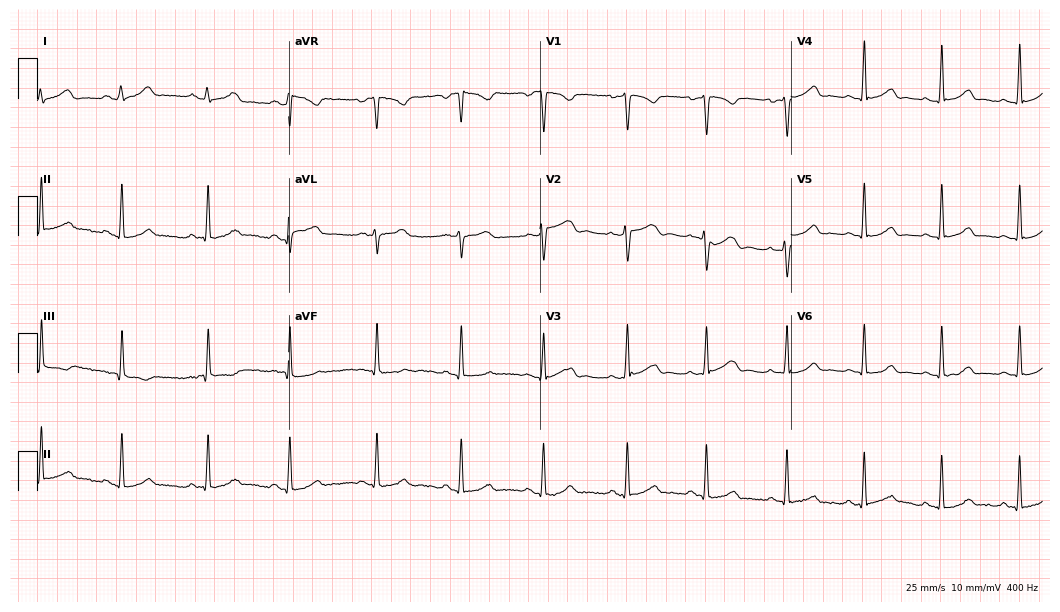
Standard 12-lead ECG recorded from a woman, 26 years old (10.2-second recording at 400 Hz). Read as a normal ECG.